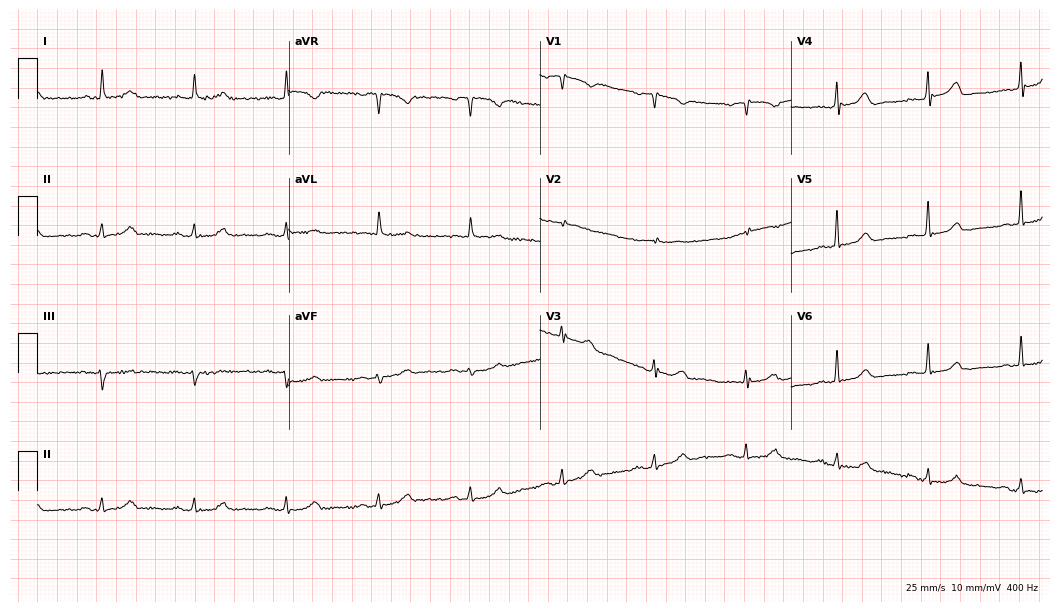
Standard 12-lead ECG recorded from a 69-year-old female (10.2-second recording at 400 Hz). Read as a normal ECG.